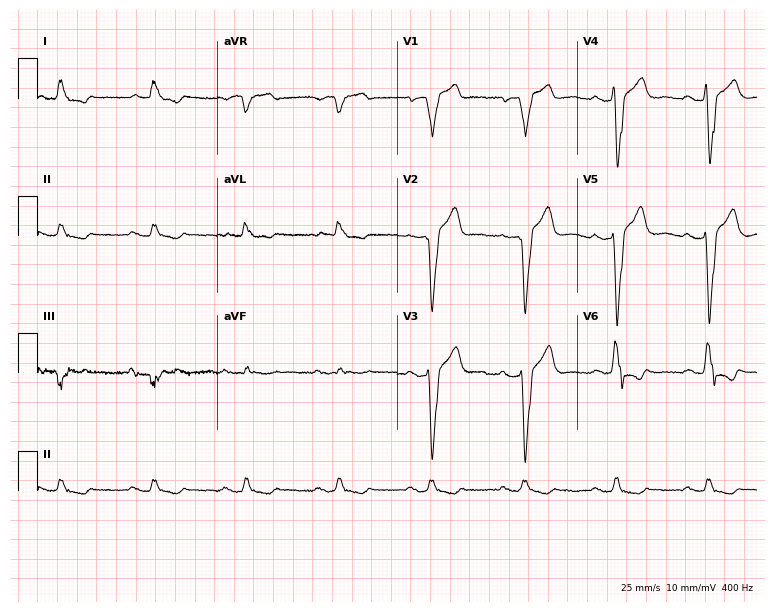
Resting 12-lead electrocardiogram. Patient: a male, 82 years old. The tracing shows left bundle branch block.